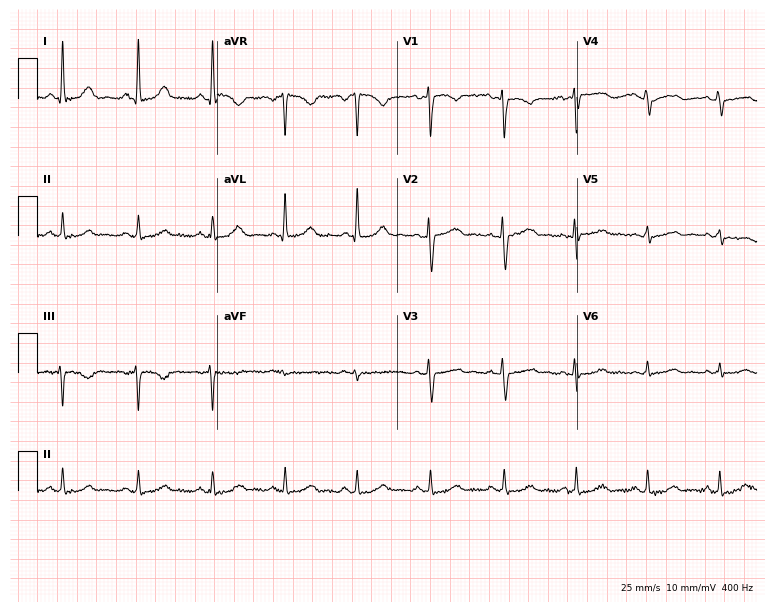
12-lead ECG from a 38-year-old female patient (7.3-second recording at 400 Hz). No first-degree AV block, right bundle branch block, left bundle branch block, sinus bradycardia, atrial fibrillation or sinus tachycardia recorded for this tracing. Other findings, if any, are not listed.